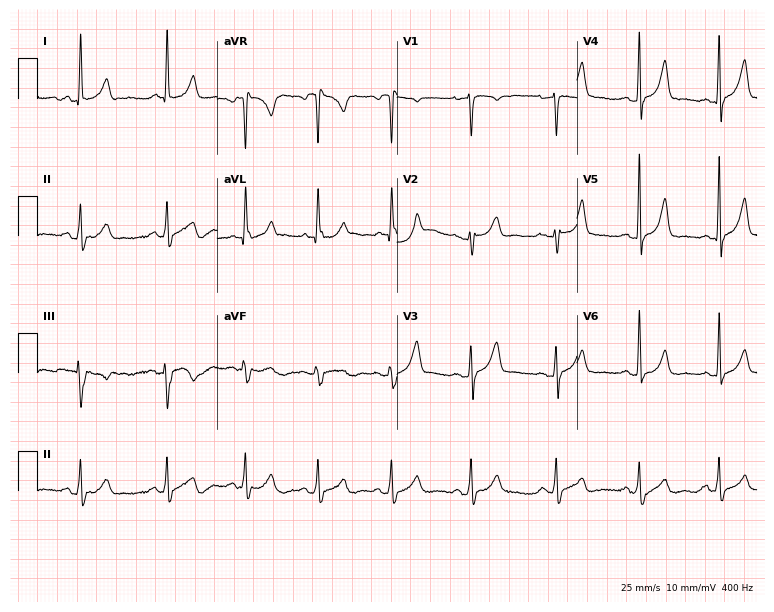
12-lead ECG (7.3-second recording at 400 Hz) from a 24-year-old female patient. Labelled as a normal ECG.